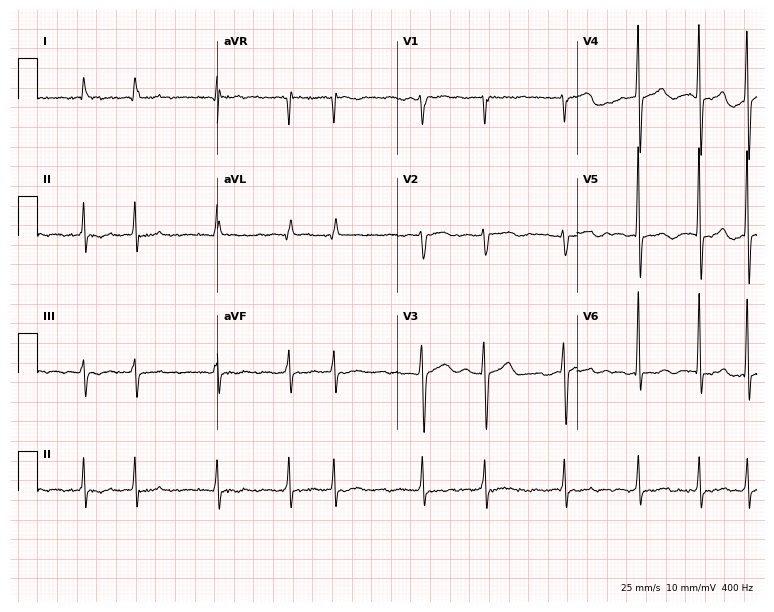
Electrocardiogram (7.3-second recording at 400 Hz), a man, 78 years old. Interpretation includes atrial fibrillation.